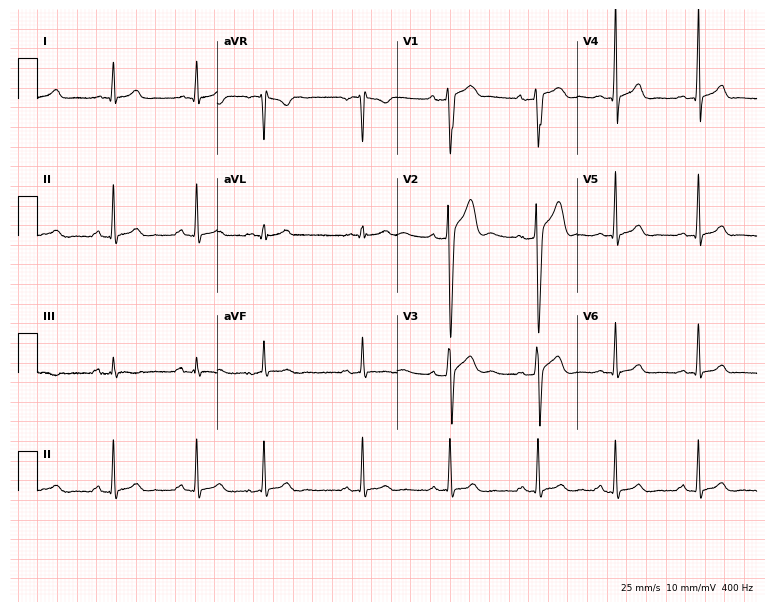
Standard 12-lead ECG recorded from a man, 19 years old (7.3-second recording at 400 Hz). Read as a normal ECG.